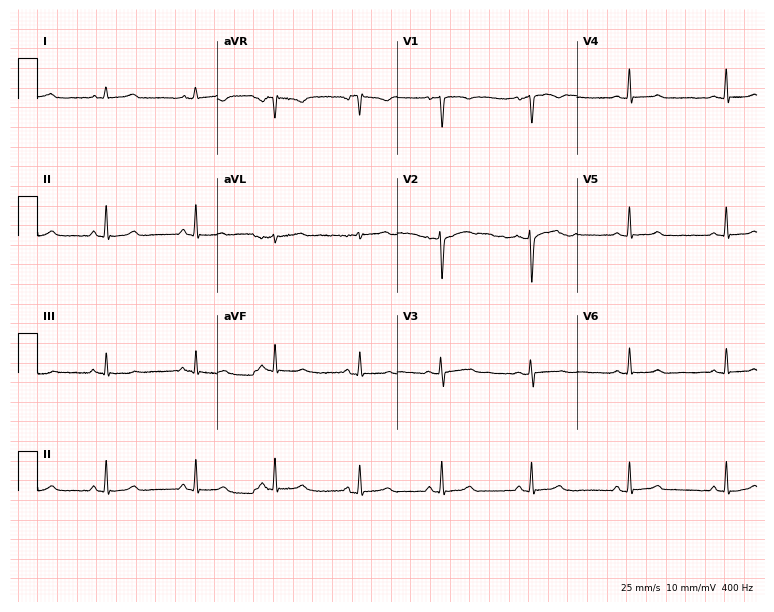
Electrocardiogram, a 32-year-old female patient. Overall reading on record: normal ECG.